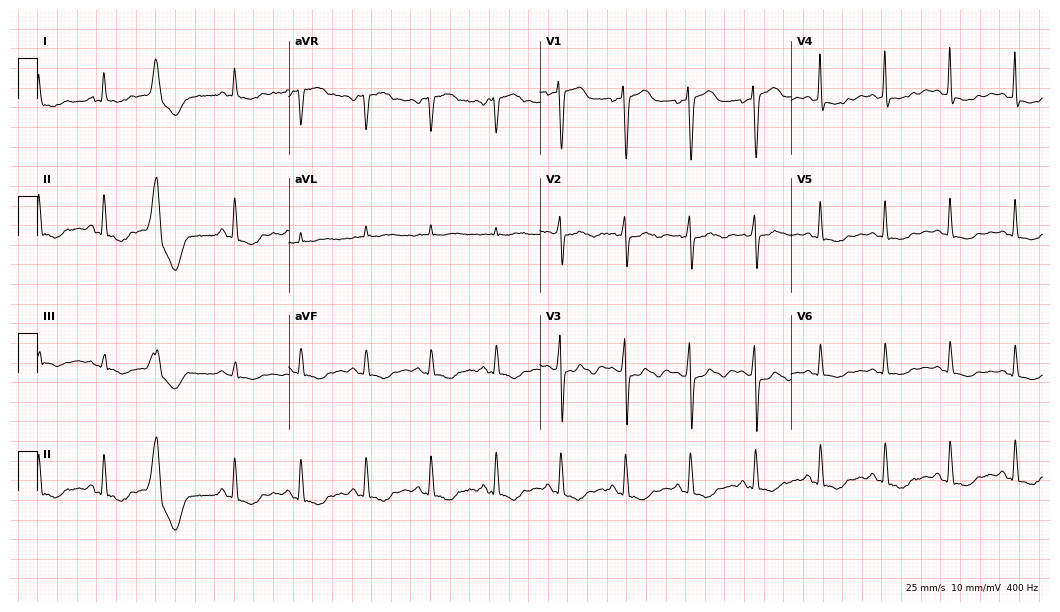
ECG — a female patient, 81 years old. Labelled as a normal ECG.